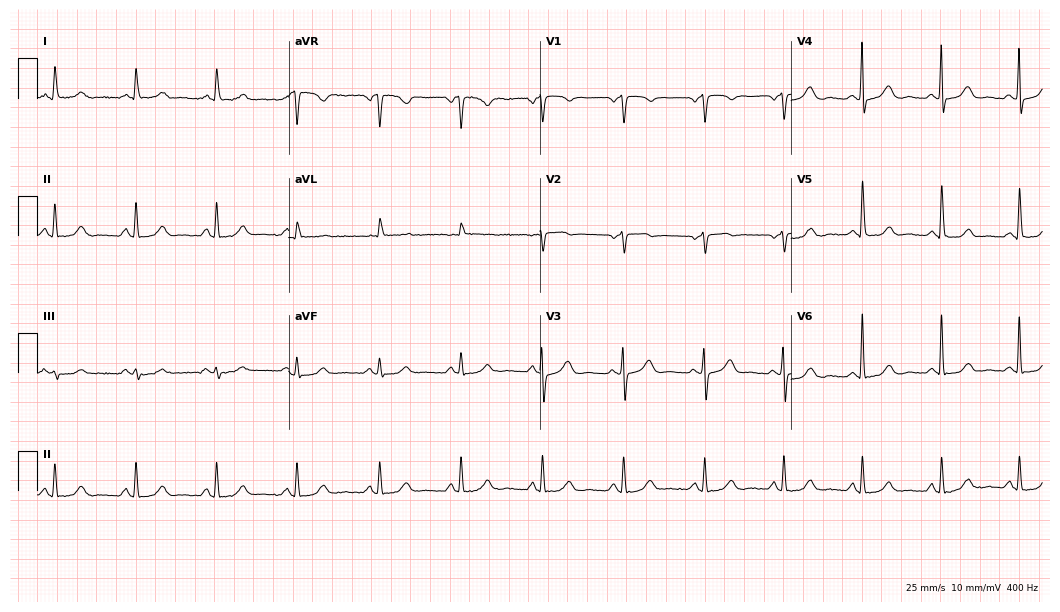
ECG — a female patient, 75 years old. Screened for six findings — first-degree AV block, right bundle branch block, left bundle branch block, sinus bradycardia, atrial fibrillation, sinus tachycardia — none is recorded. Other findings, if any, are not listed.